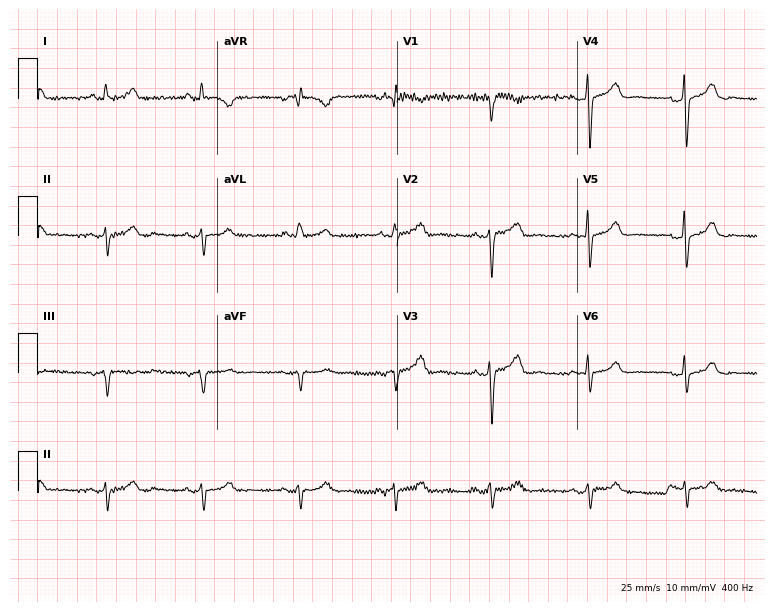
Electrocardiogram (7.3-second recording at 400 Hz), a 53-year-old female. Of the six screened findings (first-degree AV block, right bundle branch block, left bundle branch block, sinus bradycardia, atrial fibrillation, sinus tachycardia), none is recorded. Other findings, if any, are not listed.